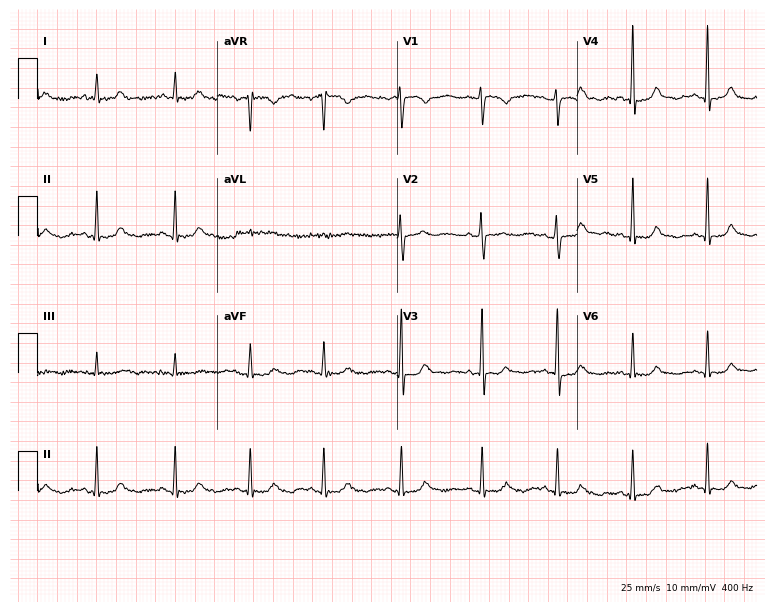
ECG (7.3-second recording at 400 Hz) — a woman, 45 years old. Screened for six findings — first-degree AV block, right bundle branch block, left bundle branch block, sinus bradycardia, atrial fibrillation, sinus tachycardia — none is recorded. Findings outside these six are not listed.